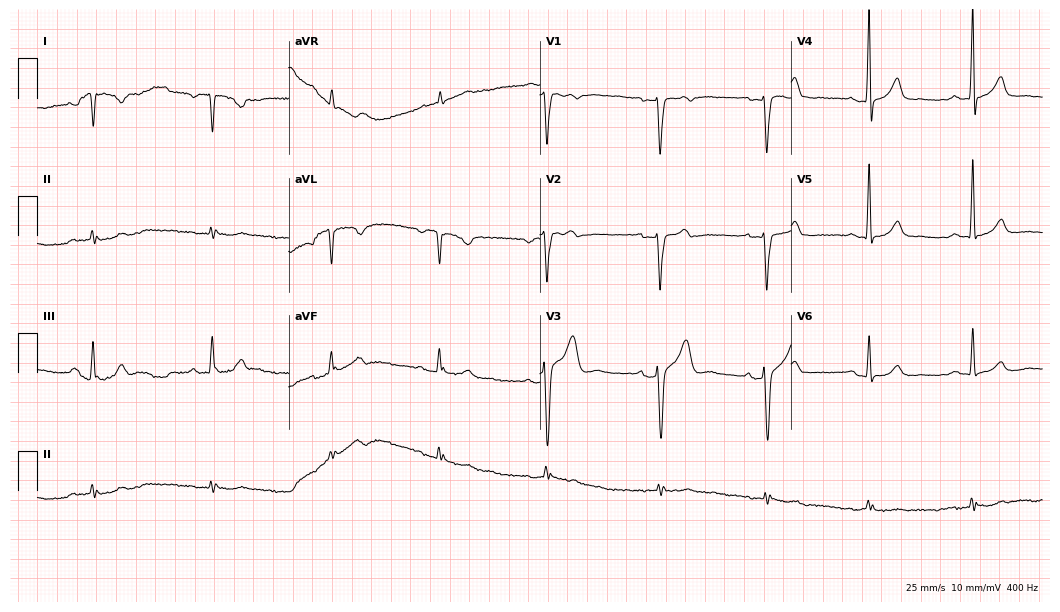
Electrocardiogram, a male, 39 years old. Of the six screened findings (first-degree AV block, right bundle branch block, left bundle branch block, sinus bradycardia, atrial fibrillation, sinus tachycardia), none is recorded. Findings outside these six are not listed.